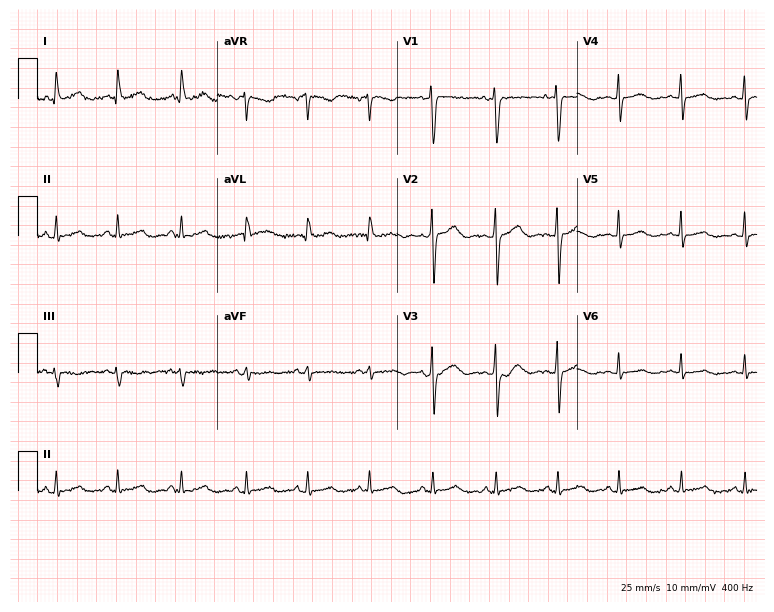
12-lead ECG from a 42-year-old female patient. Screened for six findings — first-degree AV block, right bundle branch block, left bundle branch block, sinus bradycardia, atrial fibrillation, sinus tachycardia — none is recorded. Findings outside these six are not listed.